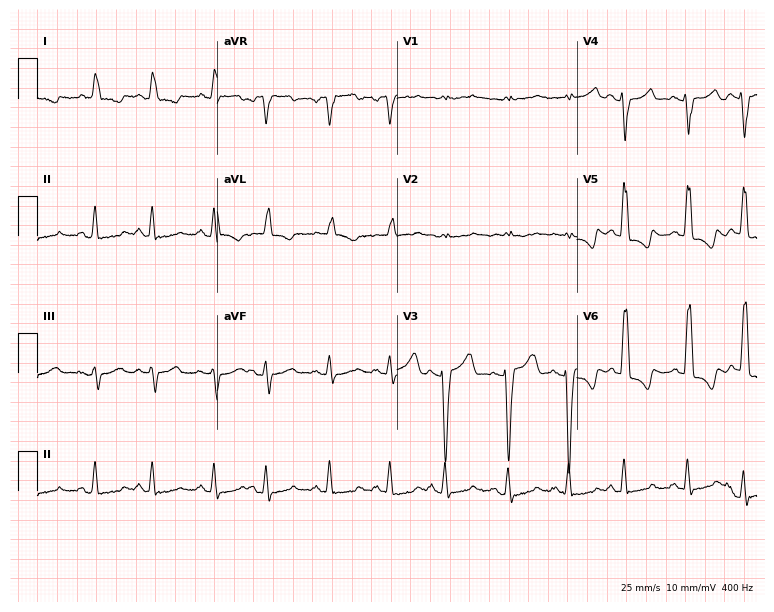
12-lead ECG from a 77-year-old woman. No first-degree AV block, right bundle branch block (RBBB), left bundle branch block (LBBB), sinus bradycardia, atrial fibrillation (AF) or sinus tachycardia recorded for this tracing. Findings outside these six are not listed.